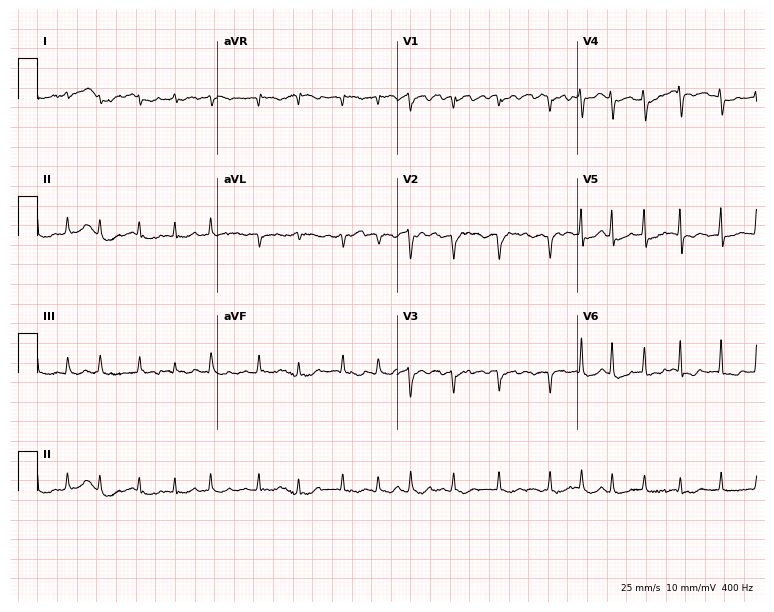
12-lead ECG from a female, 81 years old. No first-degree AV block, right bundle branch block (RBBB), left bundle branch block (LBBB), sinus bradycardia, atrial fibrillation (AF) or sinus tachycardia recorded for this tracing.